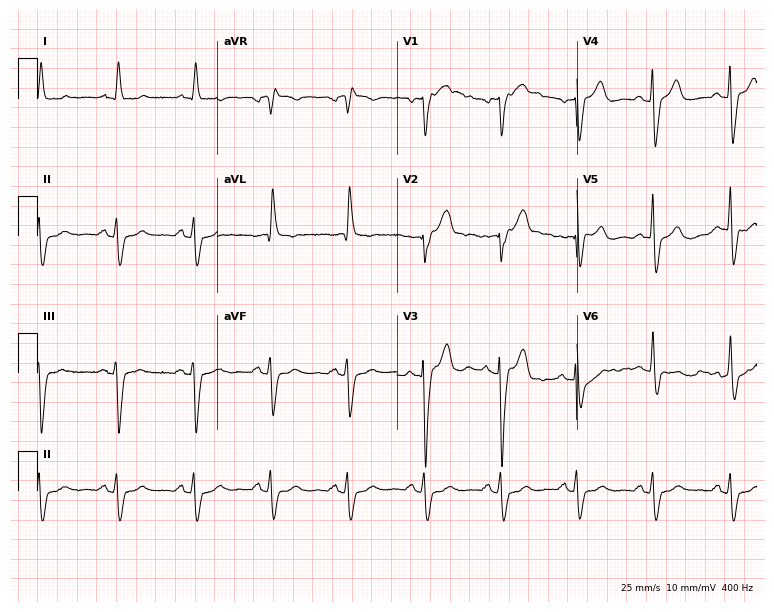
12-lead ECG from an 82-year-old man. Shows left bundle branch block (LBBB).